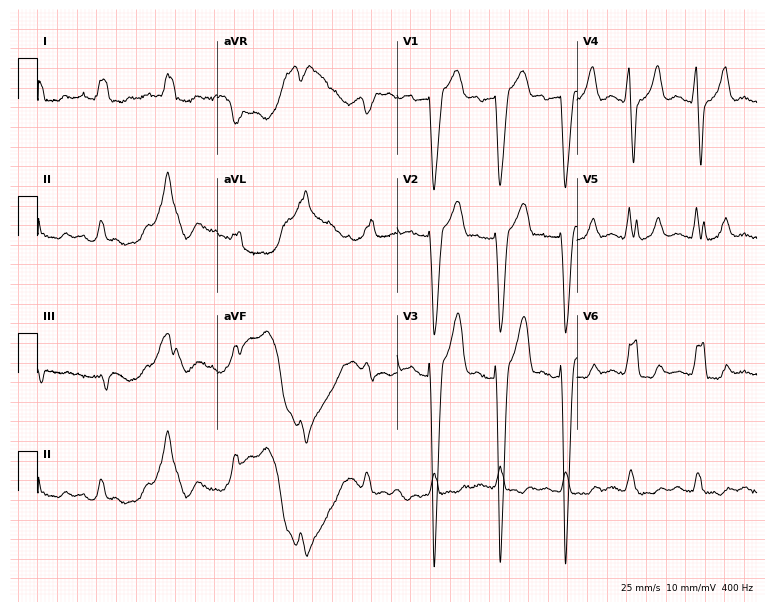
ECG — an 84-year-old male. Findings include left bundle branch block (LBBB).